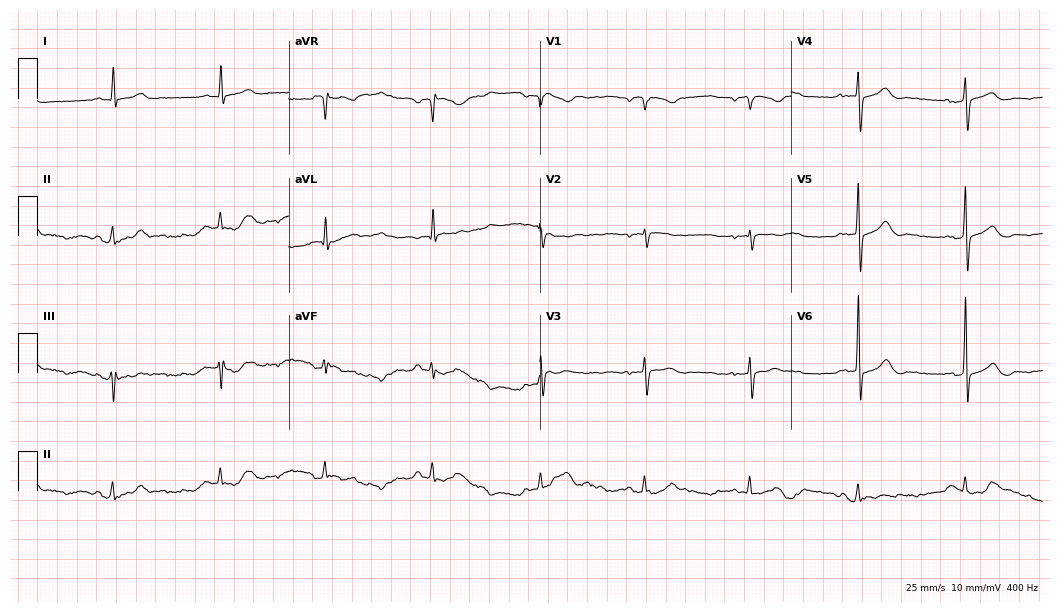
12-lead ECG (10.2-second recording at 400 Hz) from a 69-year-old woman. Screened for six findings — first-degree AV block, right bundle branch block (RBBB), left bundle branch block (LBBB), sinus bradycardia, atrial fibrillation (AF), sinus tachycardia — none is recorded. Findings outside these six are not listed.